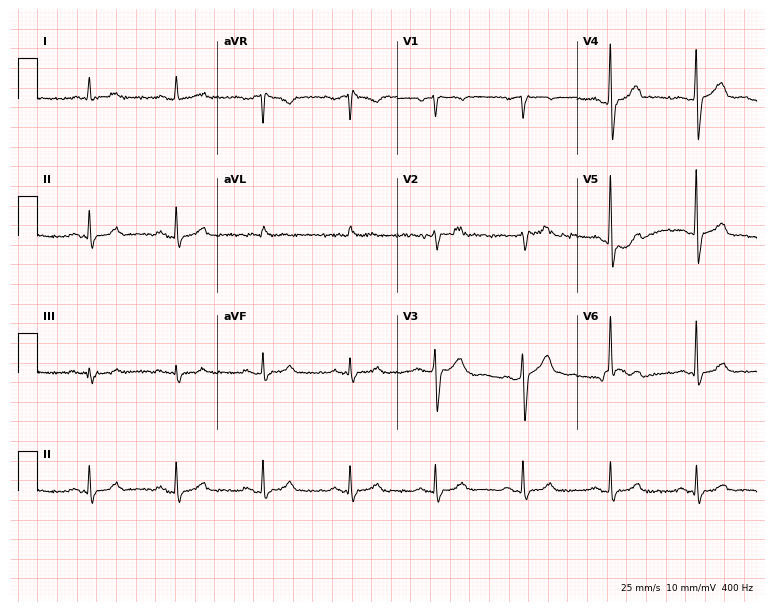
12-lead ECG from a male, 67 years old. No first-degree AV block, right bundle branch block (RBBB), left bundle branch block (LBBB), sinus bradycardia, atrial fibrillation (AF) or sinus tachycardia recorded for this tracing.